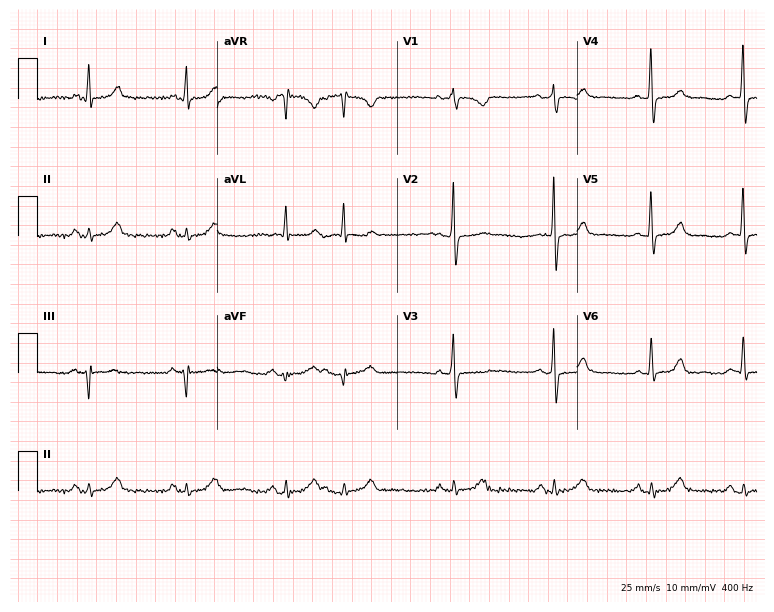
Electrocardiogram (7.3-second recording at 400 Hz), a woman, 56 years old. Of the six screened findings (first-degree AV block, right bundle branch block, left bundle branch block, sinus bradycardia, atrial fibrillation, sinus tachycardia), none is recorded.